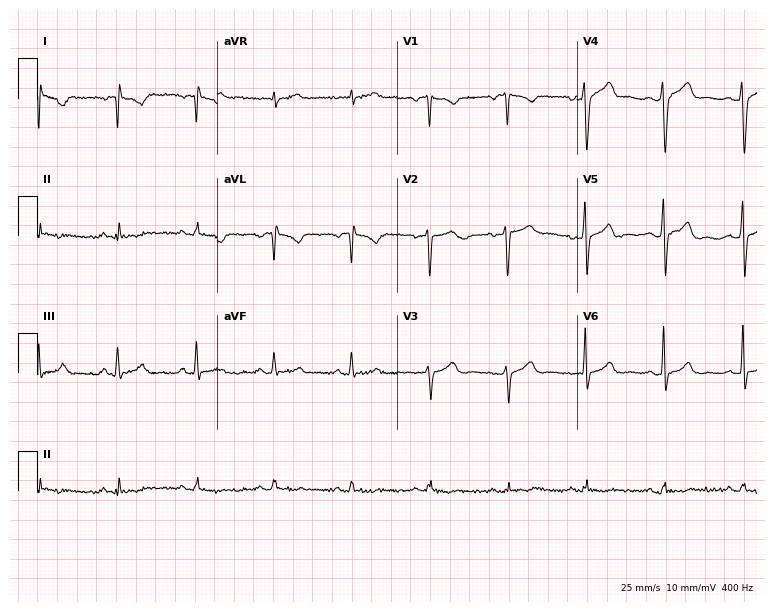
12-lead ECG from a 32-year-old male. No first-degree AV block, right bundle branch block, left bundle branch block, sinus bradycardia, atrial fibrillation or sinus tachycardia recorded for this tracing. Other findings, if any, are not listed.